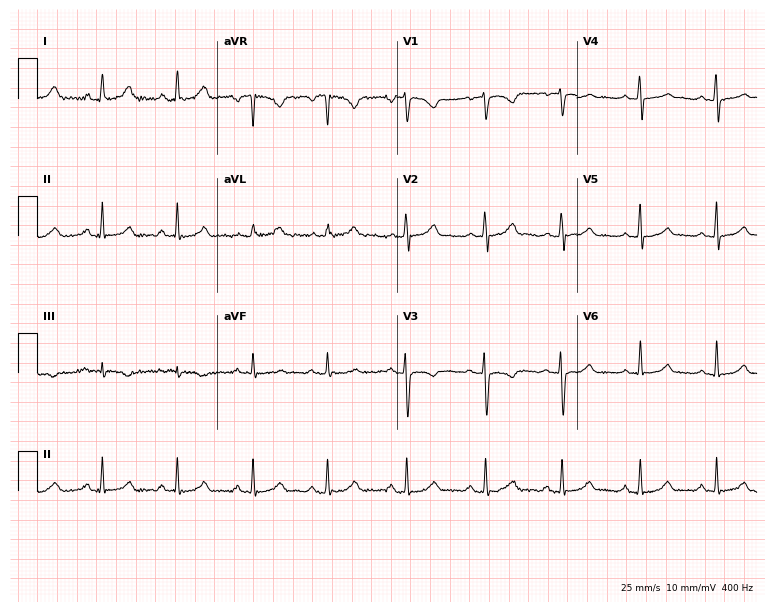
12-lead ECG from a 28-year-old female patient. Screened for six findings — first-degree AV block, right bundle branch block, left bundle branch block, sinus bradycardia, atrial fibrillation, sinus tachycardia — none is recorded. Other findings, if any, are not listed.